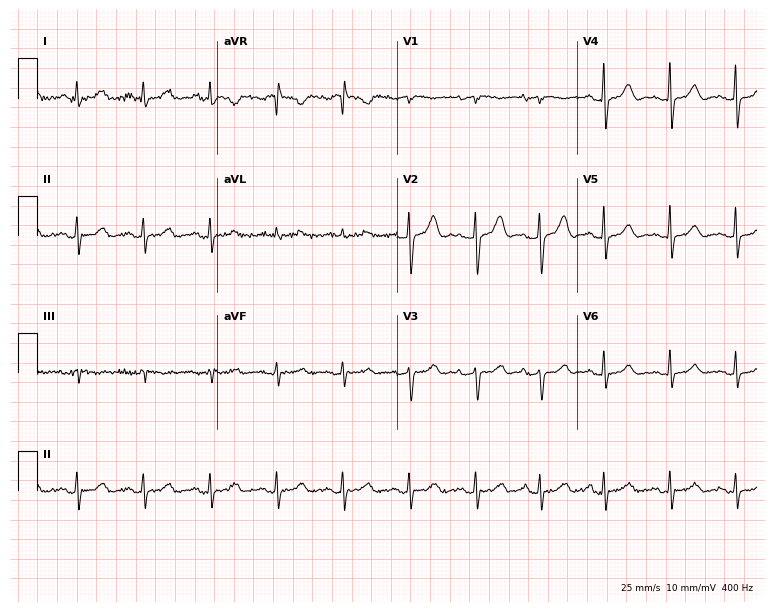
ECG — a female patient, 80 years old. Labelled as a normal ECG.